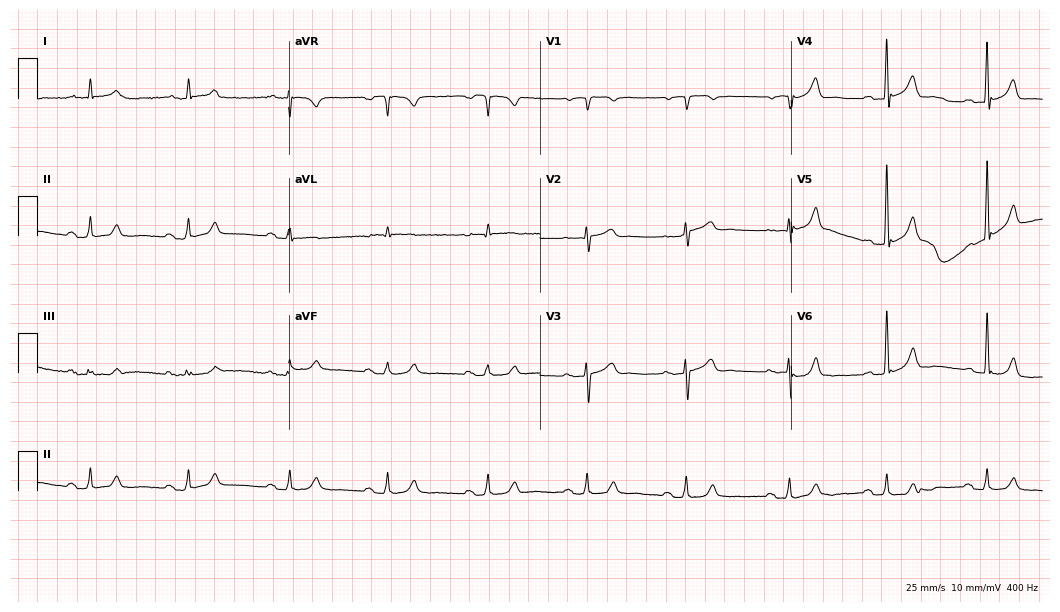
12-lead ECG from a male, 78 years old. No first-degree AV block, right bundle branch block, left bundle branch block, sinus bradycardia, atrial fibrillation or sinus tachycardia recorded for this tracing.